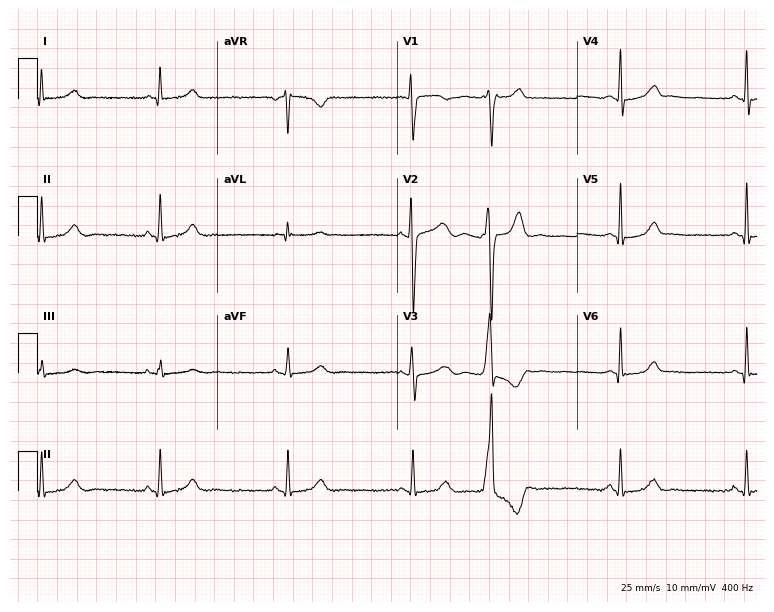
12-lead ECG from a 20-year-old female patient (7.3-second recording at 400 Hz). No first-degree AV block, right bundle branch block (RBBB), left bundle branch block (LBBB), sinus bradycardia, atrial fibrillation (AF) or sinus tachycardia recorded for this tracing.